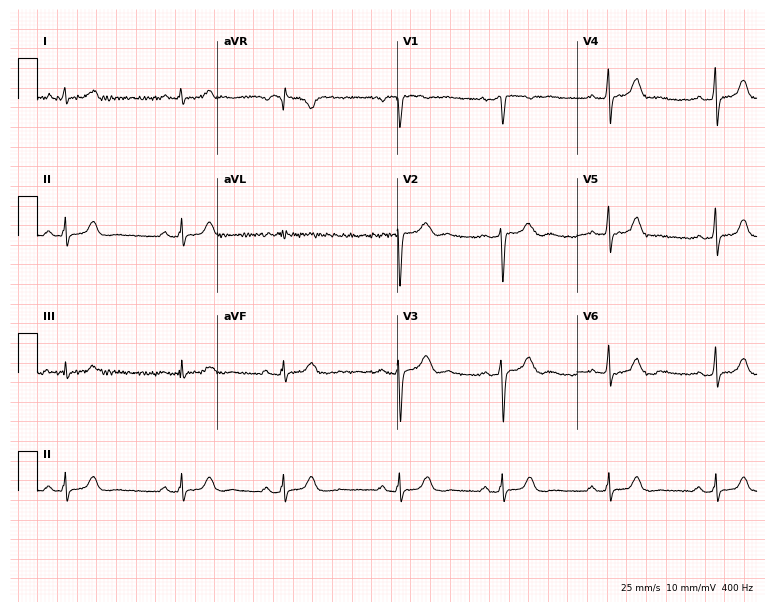
12-lead ECG (7.3-second recording at 400 Hz) from a woman, 40 years old. Screened for six findings — first-degree AV block, right bundle branch block (RBBB), left bundle branch block (LBBB), sinus bradycardia, atrial fibrillation (AF), sinus tachycardia — none is recorded.